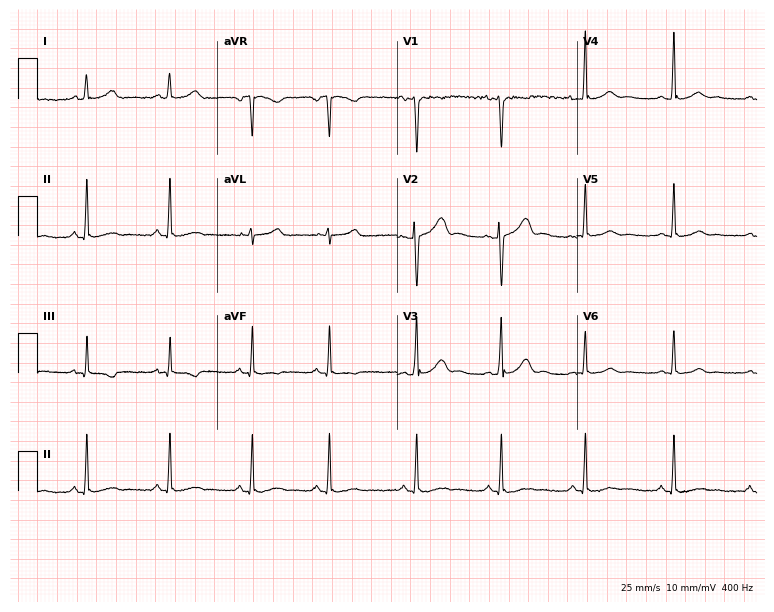
Electrocardiogram (7.3-second recording at 400 Hz), a woman, 31 years old. Of the six screened findings (first-degree AV block, right bundle branch block, left bundle branch block, sinus bradycardia, atrial fibrillation, sinus tachycardia), none is recorded. Findings outside these six are not listed.